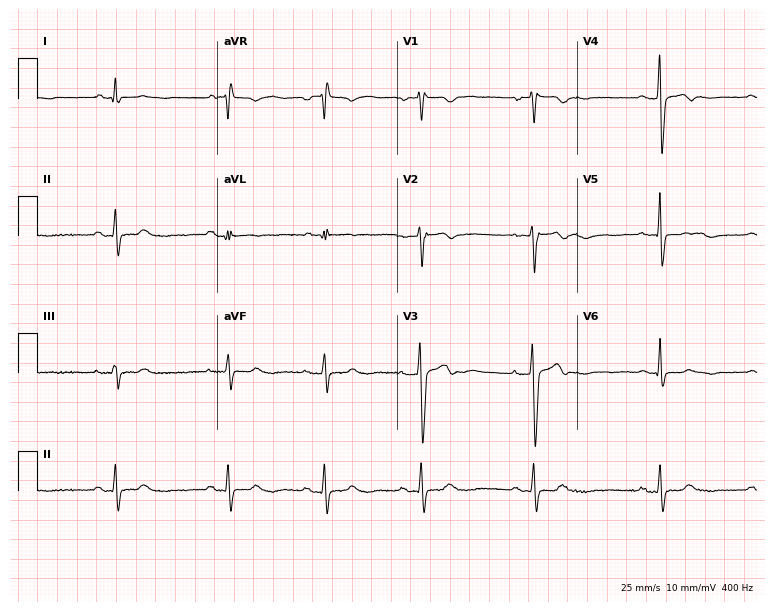
ECG (7.3-second recording at 400 Hz) — a woman, 38 years old. Screened for six findings — first-degree AV block, right bundle branch block, left bundle branch block, sinus bradycardia, atrial fibrillation, sinus tachycardia — none is recorded. Other findings, if any, are not listed.